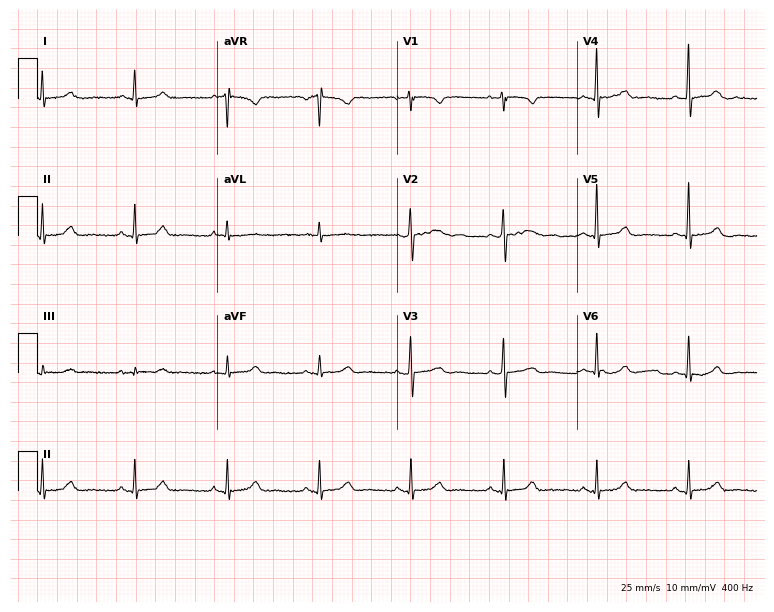
12-lead ECG from a 66-year-old female. Recorded interpretation: within normal limits.